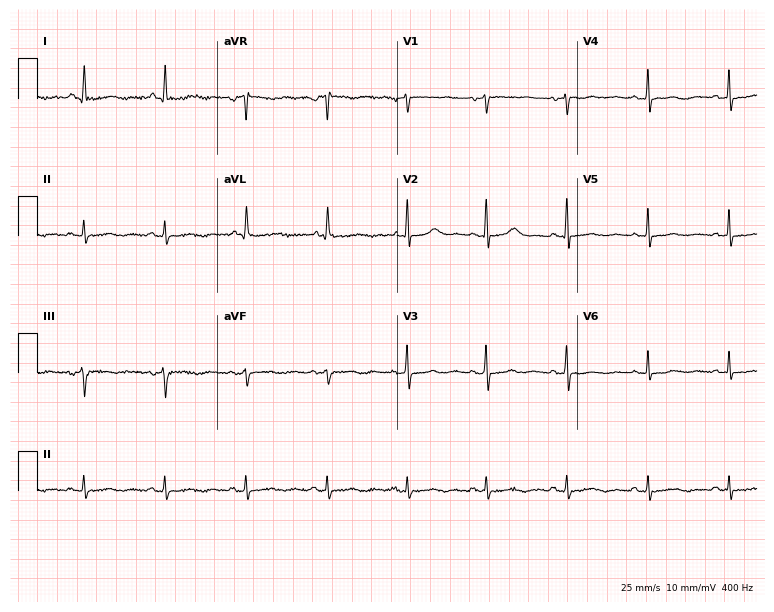
Resting 12-lead electrocardiogram (7.3-second recording at 400 Hz). Patient: an 83-year-old woman. None of these six findings is recorded: first-degree AV block, right bundle branch block, left bundle branch block, sinus bradycardia, atrial fibrillation, sinus tachycardia. Only these six findings were labelled.